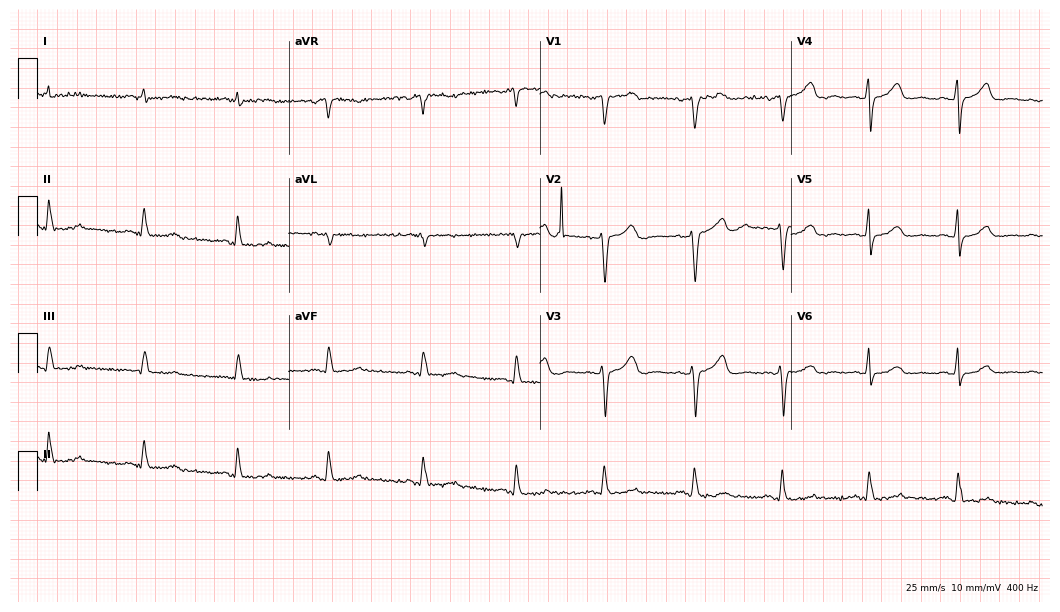
ECG — a female, 51 years old. Labelled as a normal ECG.